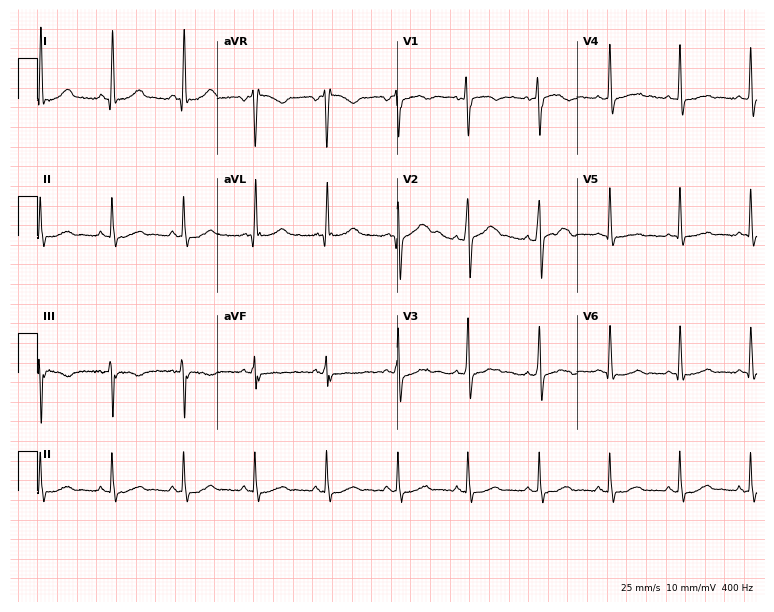
12-lead ECG from a 50-year-old man. No first-degree AV block, right bundle branch block, left bundle branch block, sinus bradycardia, atrial fibrillation or sinus tachycardia recorded for this tracing. Findings outside these six are not listed.